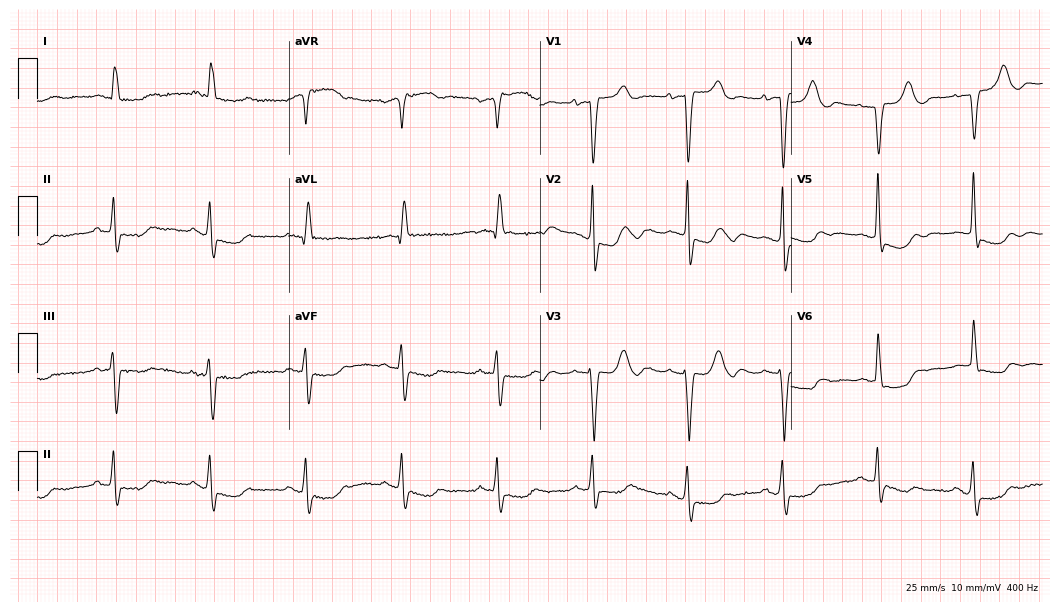
Standard 12-lead ECG recorded from a female, 76 years old. The tracing shows left bundle branch block.